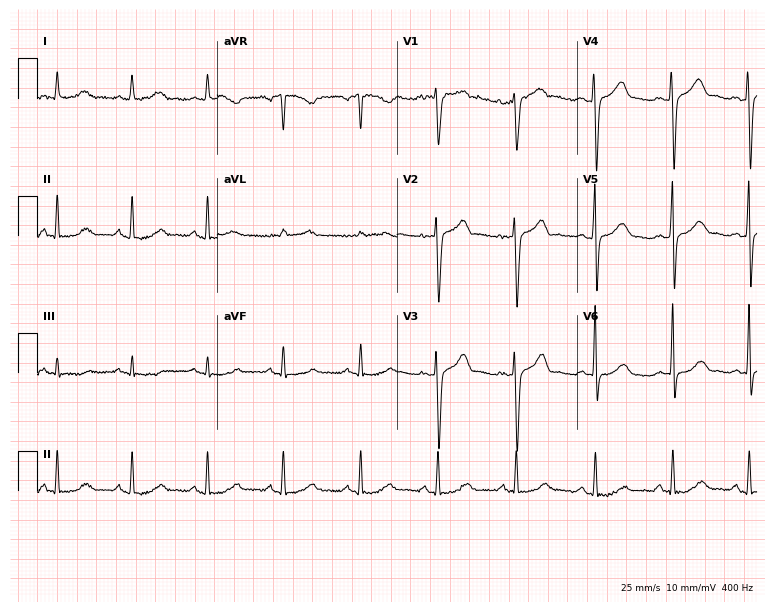
ECG — a 71-year-old man. Labelled as a normal ECG.